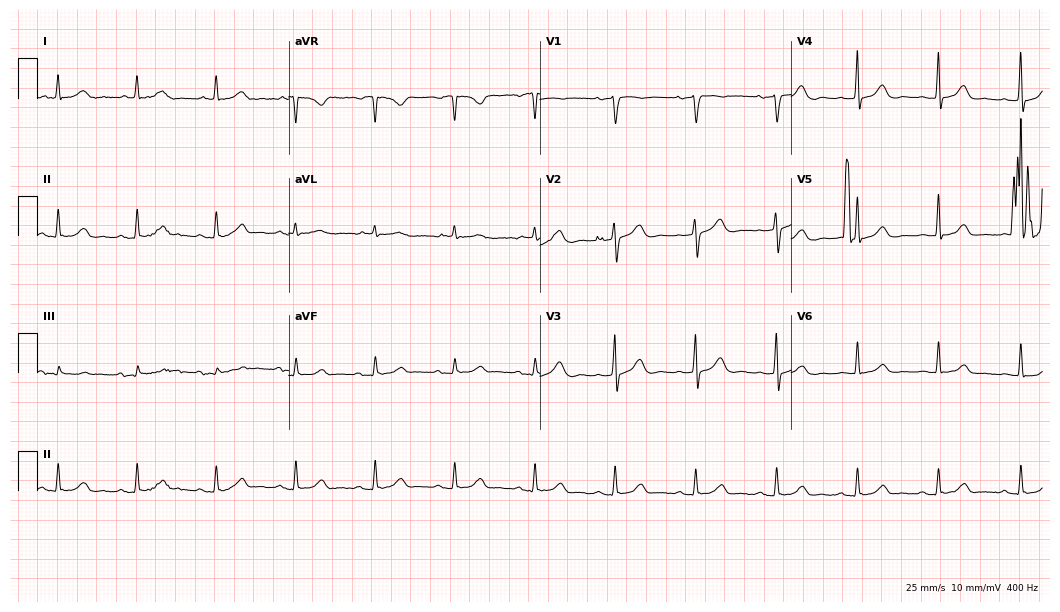
ECG — a man, 80 years old. Screened for six findings — first-degree AV block, right bundle branch block, left bundle branch block, sinus bradycardia, atrial fibrillation, sinus tachycardia — none is recorded.